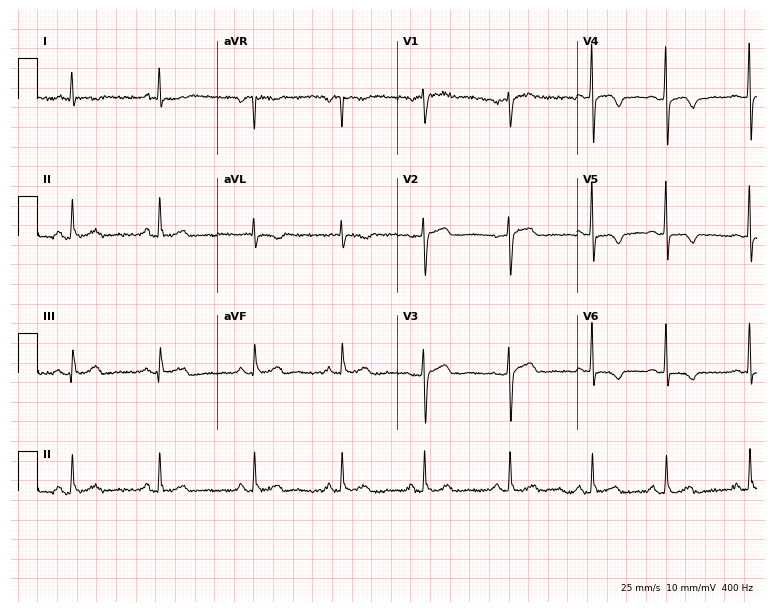
Resting 12-lead electrocardiogram (7.3-second recording at 400 Hz). Patient: a woman, 62 years old. None of these six findings is recorded: first-degree AV block, right bundle branch block (RBBB), left bundle branch block (LBBB), sinus bradycardia, atrial fibrillation (AF), sinus tachycardia.